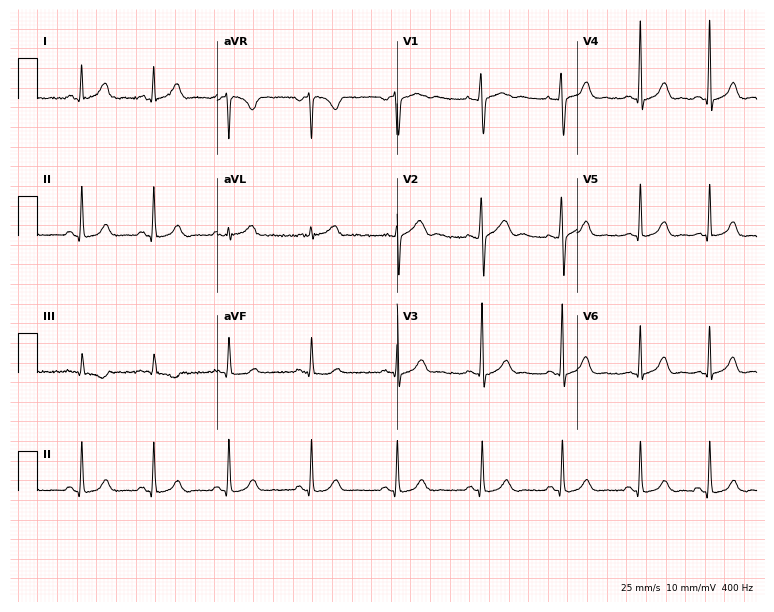
Resting 12-lead electrocardiogram (7.3-second recording at 400 Hz). Patient: a 32-year-old woman. Read as a normal ECG.